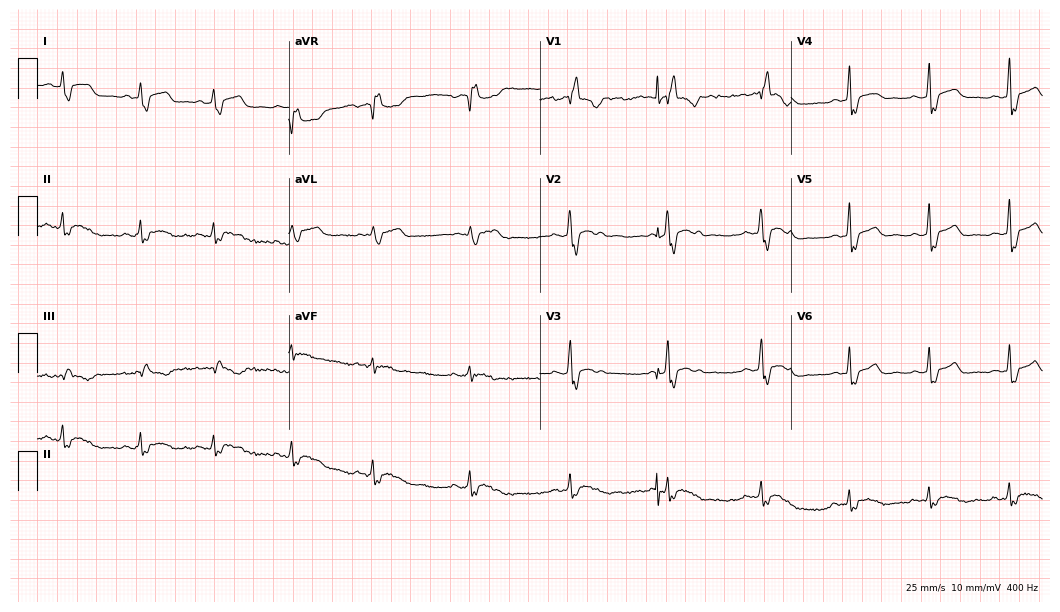
ECG (10.2-second recording at 400 Hz) — a female, 31 years old. Findings include right bundle branch block (RBBB).